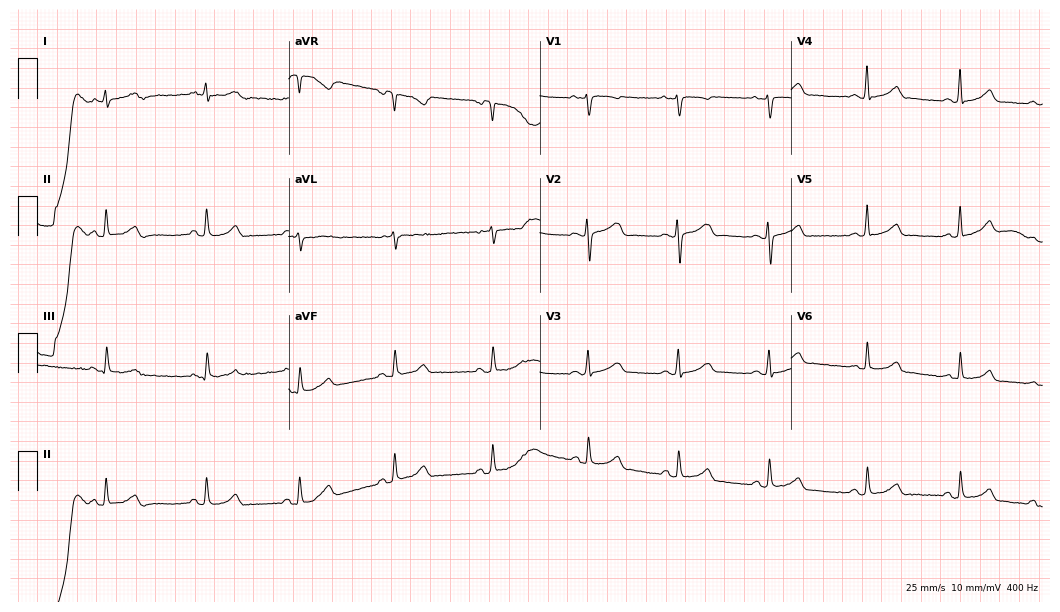
Electrocardiogram, a 23-year-old female. Overall reading on record: normal ECG.